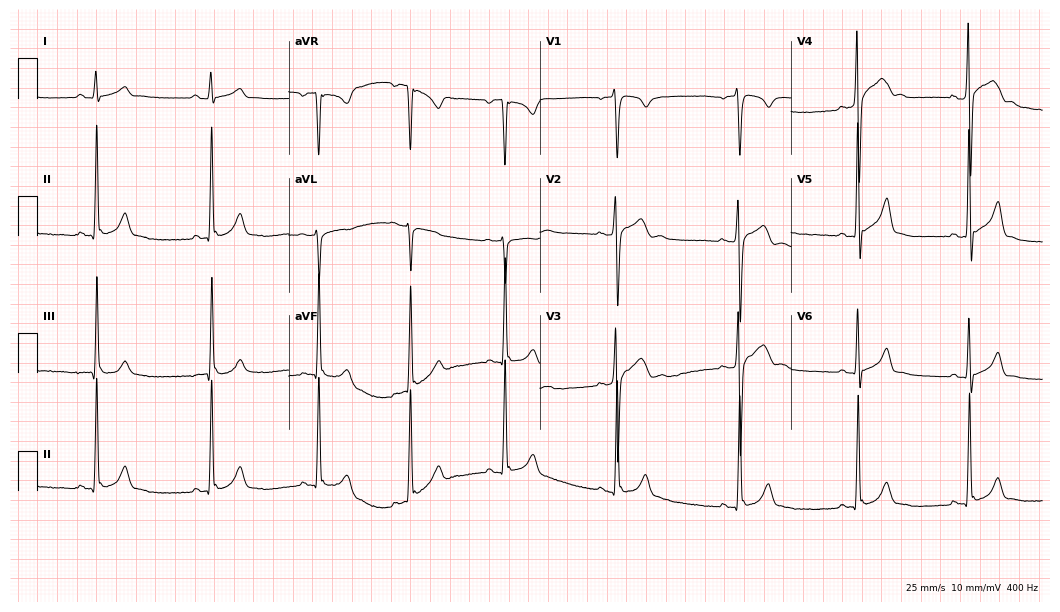
Standard 12-lead ECG recorded from a male patient, 17 years old. None of these six findings is recorded: first-degree AV block, right bundle branch block, left bundle branch block, sinus bradycardia, atrial fibrillation, sinus tachycardia. Only these six findings were labelled.